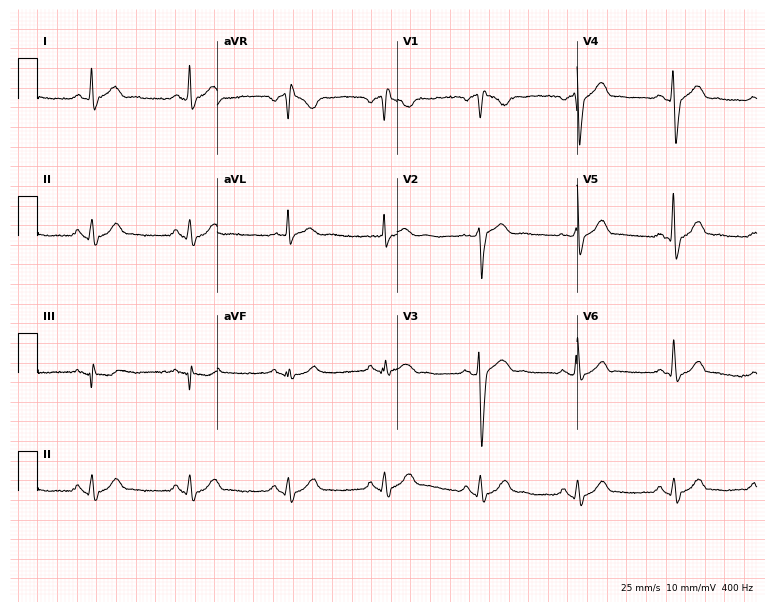
ECG (7.3-second recording at 400 Hz) — a man, 53 years old. Screened for six findings — first-degree AV block, right bundle branch block, left bundle branch block, sinus bradycardia, atrial fibrillation, sinus tachycardia — none is recorded. Findings outside these six are not listed.